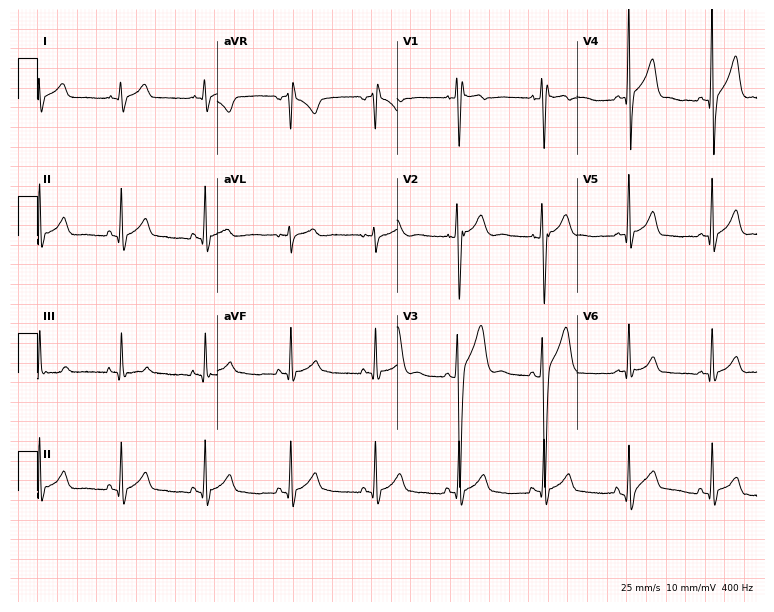
12-lead ECG from a 17-year-old male. Screened for six findings — first-degree AV block, right bundle branch block, left bundle branch block, sinus bradycardia, atrial fibrillation, sinus tachycardia — none is recorded.